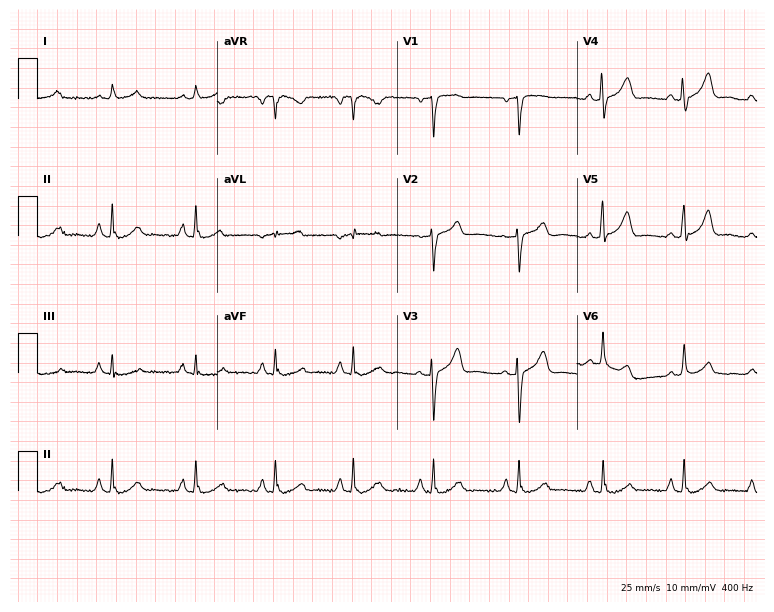
12-lead ECG from a male, 58 years old. No first-degree AV block, right bundle branch block (RBBB), left bundle branch block (LBBB), sinus bradycardia, atrial fibrillation (AF) or sinus tachycardia recorded for this tracing. Other findings, if any, are not listed.